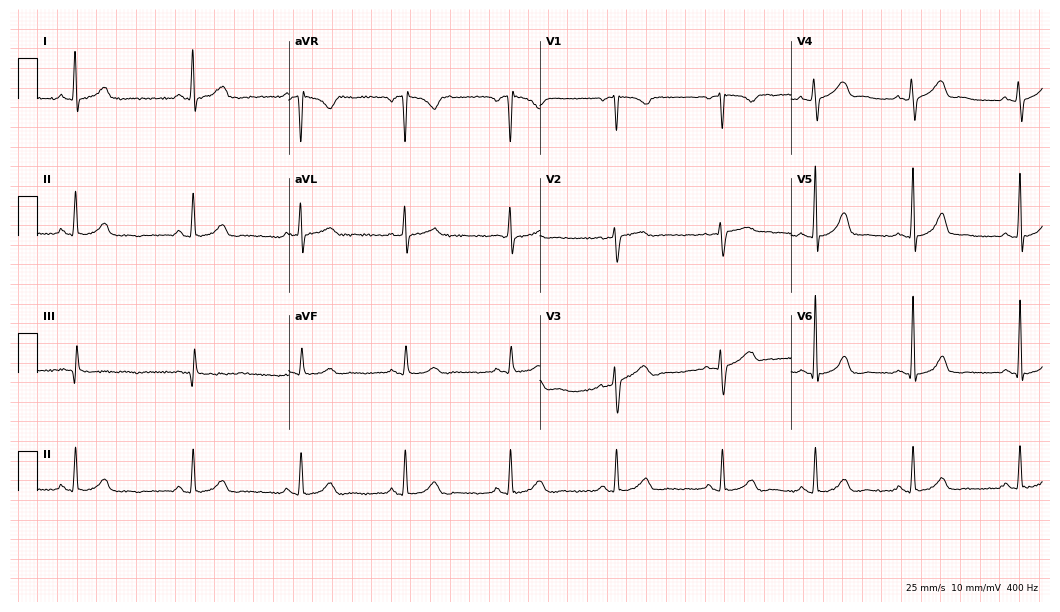
Electrocardiogram, a 41-year-old woman. Overall reading on record: normal ECG.